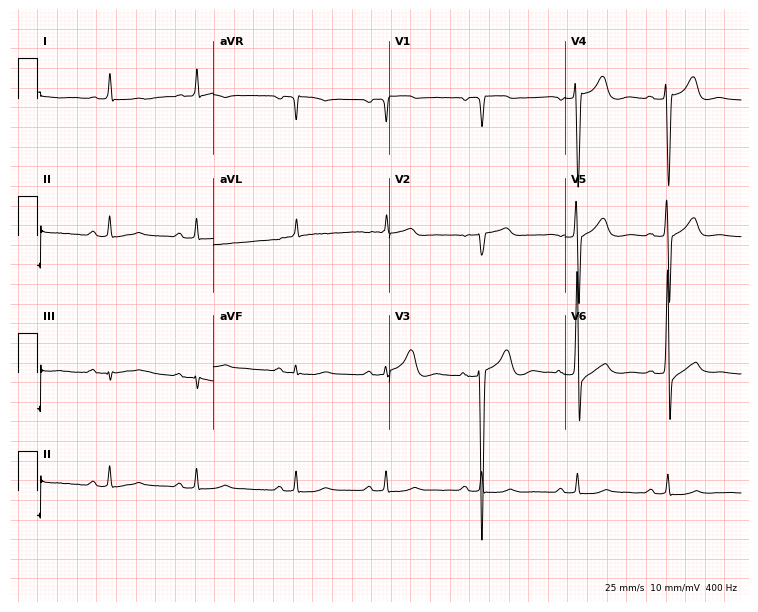
12-lead ECG from a male, 76 years old. Screened for six findings — first-degree AV block, right bundle branch block (RBBB), left bundle branch block (LBBB), sinus bradycardia, atrial fibrillation (AF), sinus tachycardia — none is recorded.